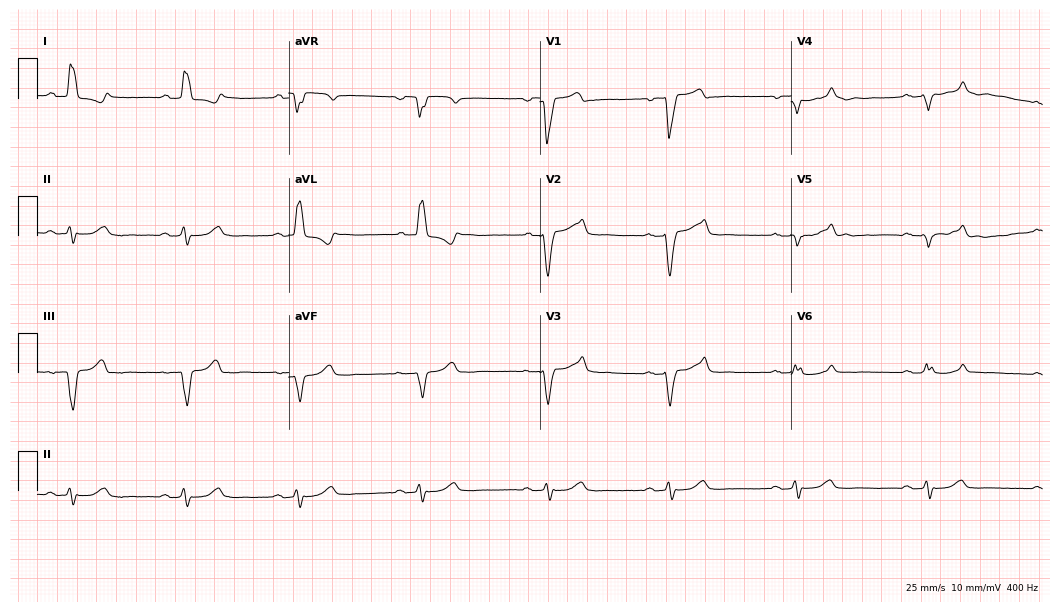
Resting 12-lead electrocardiogram. Patient: a 57-year-old woman. The tracing shows left bundle branch block, sinus bradycardia (a sinus rate of 50 beats per minute or less).